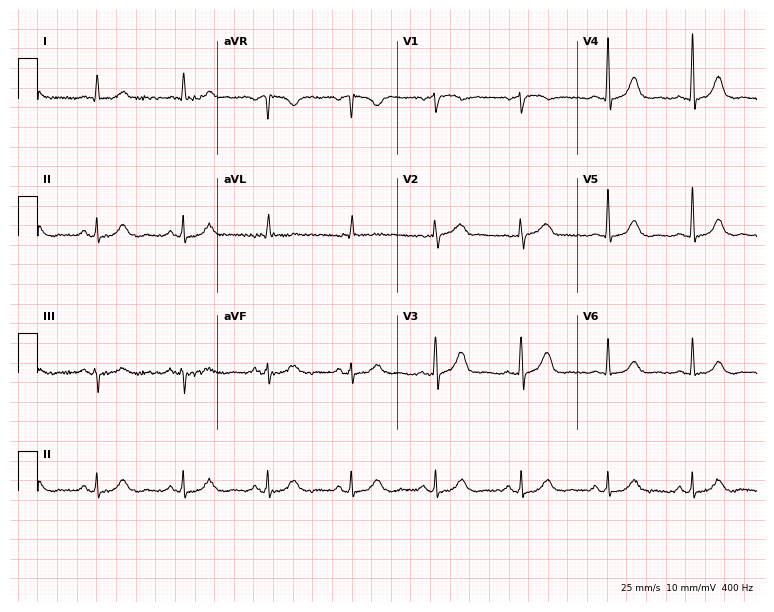
Standard 12-lead ECG recorded from a woman, 77 years old (7.3-second recording at 400 Hz). Read as a normal ECG.